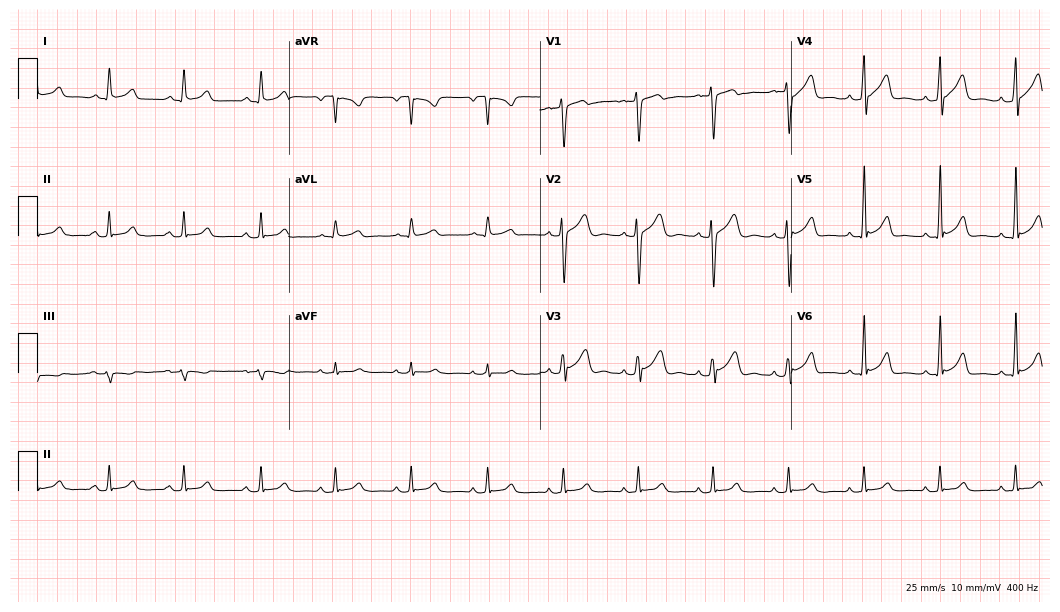
Electrocardiogram, a 36-year-old male patient. Overall reading on record: normal ECG.